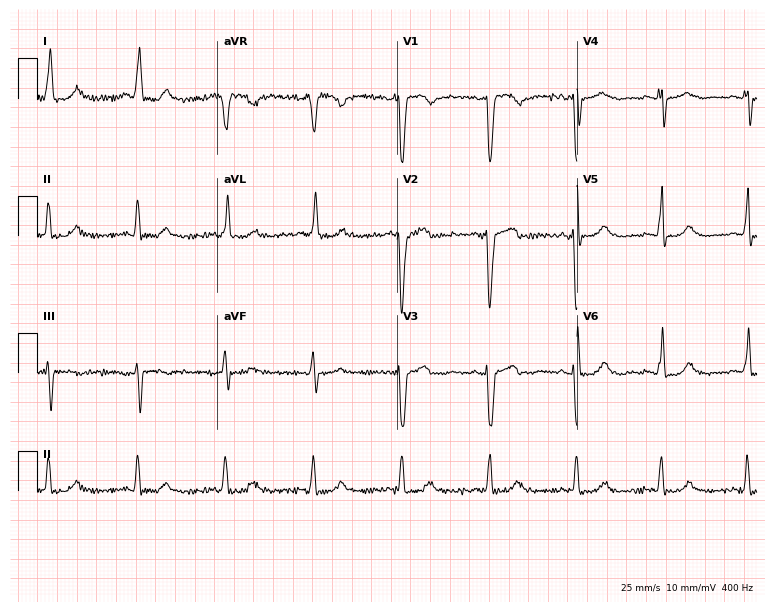
Resting 12-lead electrocardiogram (7.3-second recording at 400 Hz). Patient: a female, 72 years old. None of these six findings is recorded: first-degree AV block, right bundle branch block, left bundle branch block, sinus bradycardia, atrial fibrillation, sinus tachycardia.